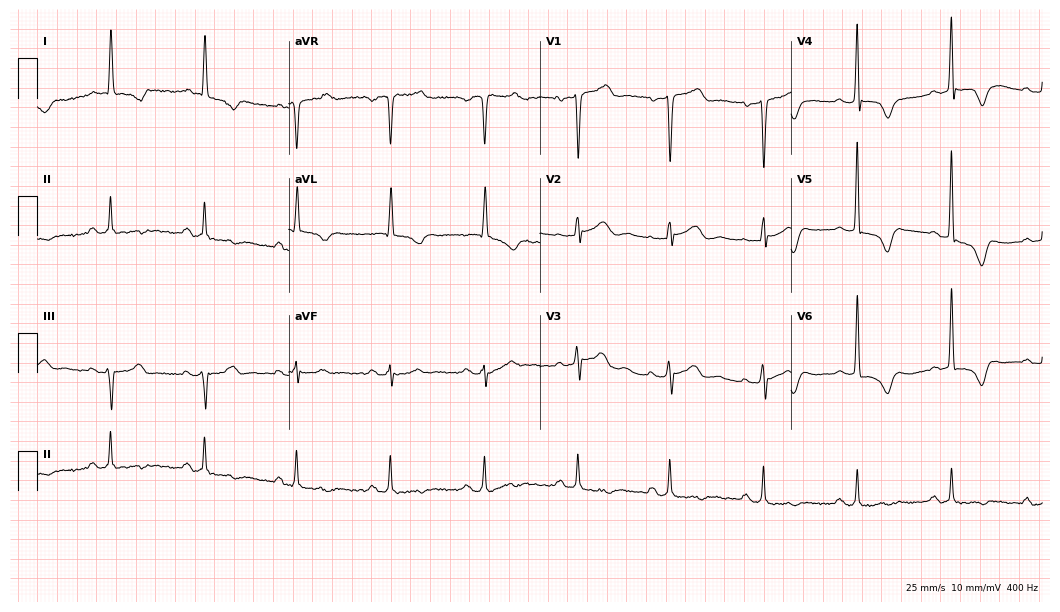
Electrocardiogram (10.2-second recording at 400 Hz), a 66-year-old male. Of the six screened findings (first-degree AV block, right bundle branch block, left bundle branch block, sinus bradycardia, atrial fibrillation, sinus tachycardia), none is recorded. Only these six findings were labelled.